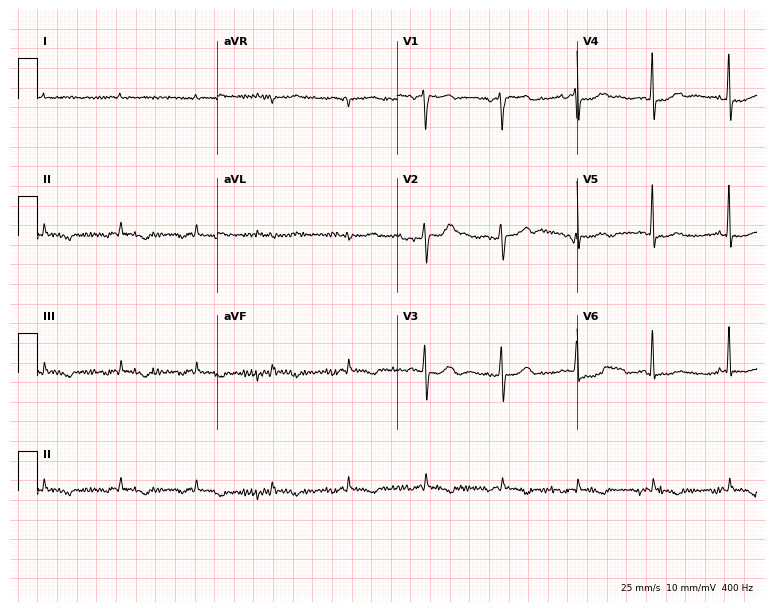
12-lead ECG from a woman, 83 years old. No first-degree AV block, right bundle branch block, left bundle branch block, sinus bradycardia, atrial fibrillation or sinus tachycardia recorded for this tracing. Other findings, if any, are not listed.